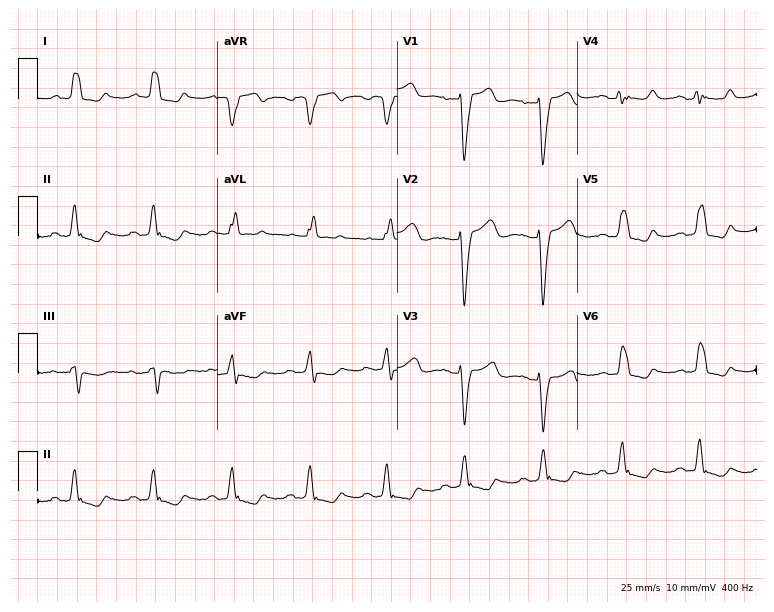
Resting 12-lead electrocardiogram. Patient: a female, 77 years old. The tracing shows left bundle branch block.